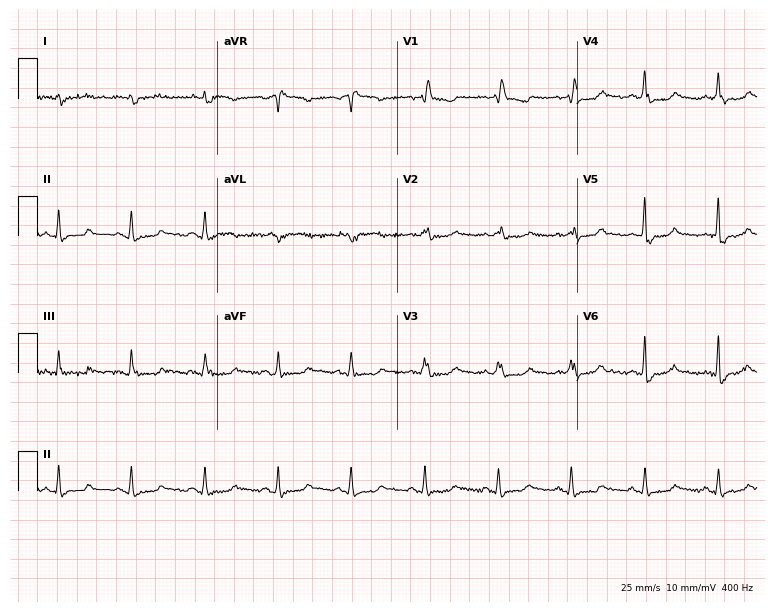
Resting 12-lead electrocardiogram. Patient: a 78-year-old male. The tracing shows right bundle branch block.